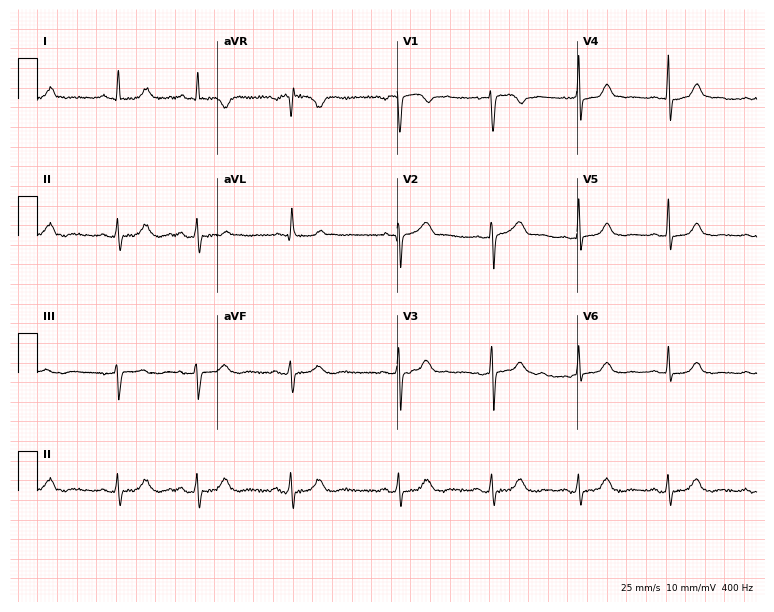
ECG (7.3-second recording at 400 Hz) — a 40-year-old female patient. Screened for six findings — first-degree AV block, right bundle branch block, left bundle branch block, sinus bradycardia, atrial fibrillation, sinus tachycardia — none is recorded. Other findings, if any, are not listed.